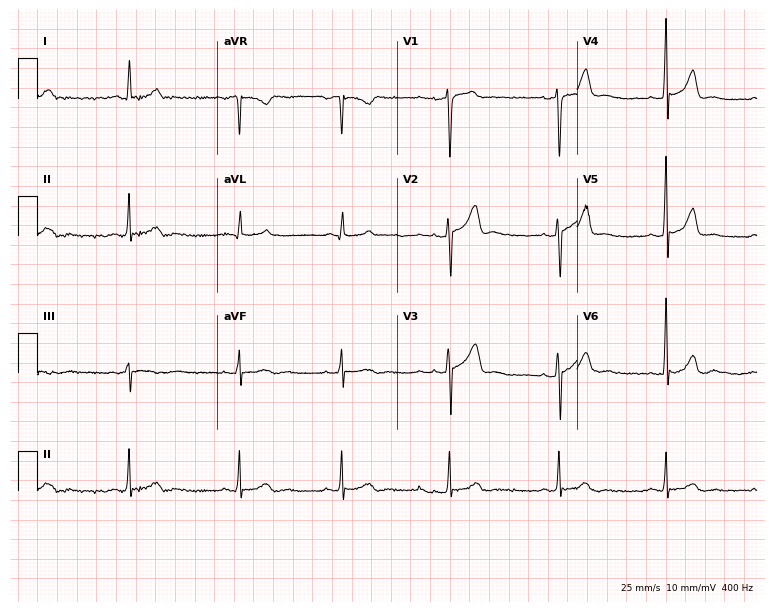
12-lead ECG (7.3-second recording at 400 Hz) from a man, 17 years old. Labelled as a normal ECG.